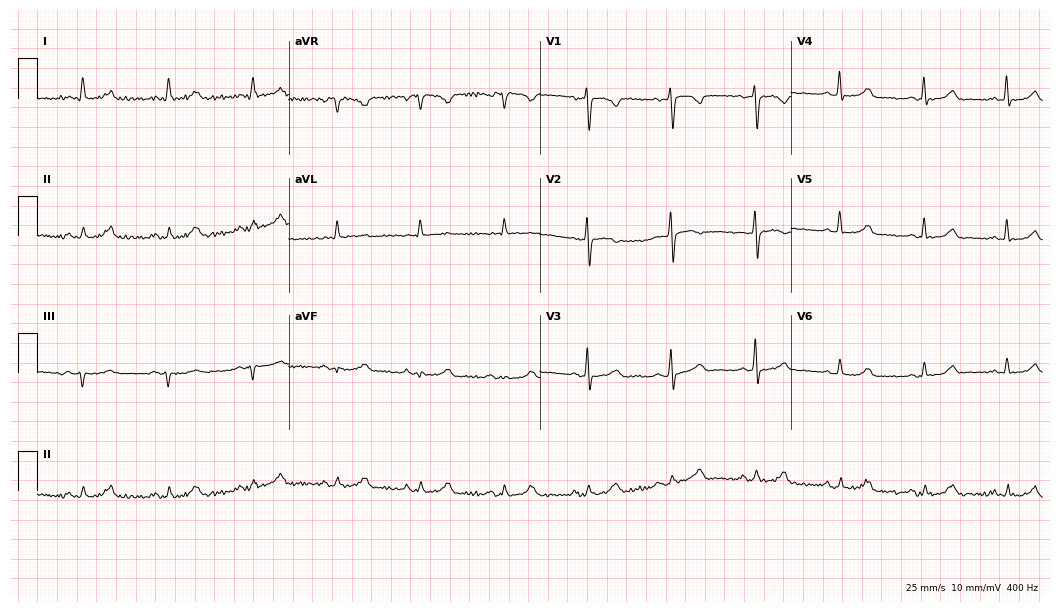
ECG — a 65-year-old female. Labelled as a normal ECG.